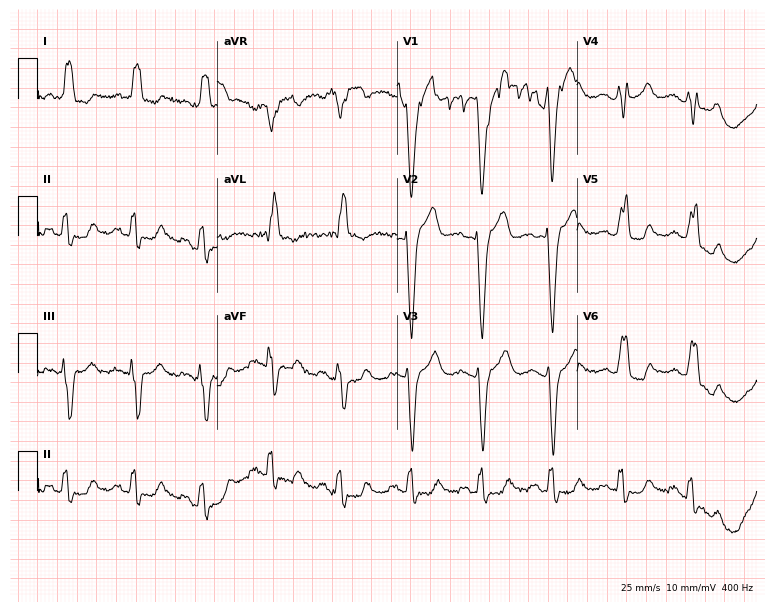
Resting 12-lead electrocardiogram (7.3-second recording at 400 Hz). Patient: a 49-year-old female. The tracing shows left bundle branch block.